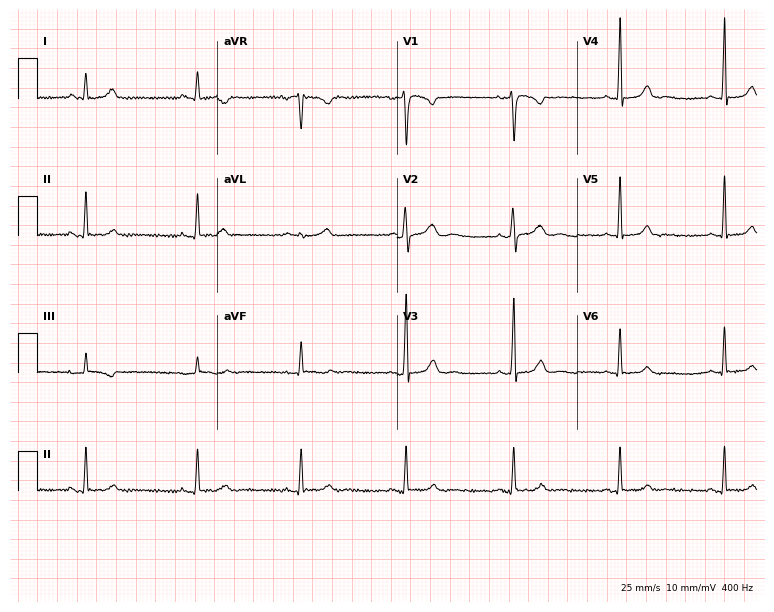
Resting 12-lead electrocardiogram (7.3-second recording at 400 Hz). Patient: a 25-year-old female. Read as a normal ECG.